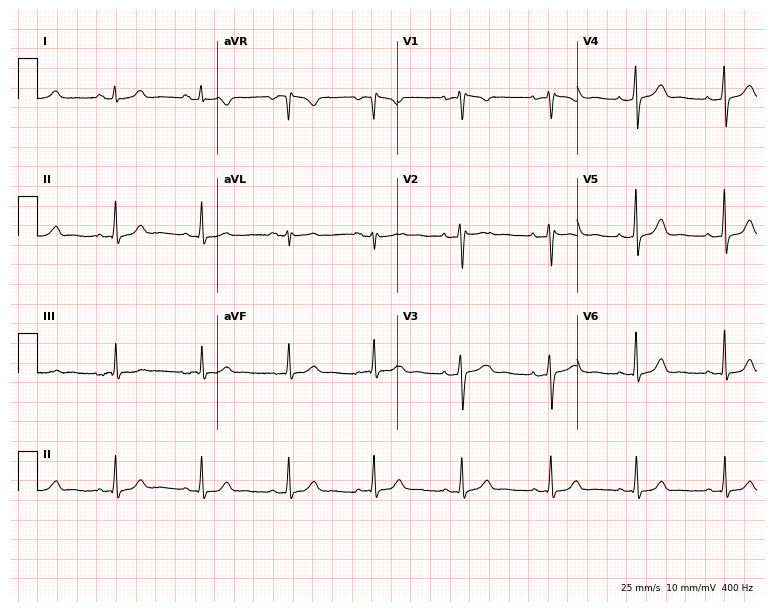
Standard 12-lead ECG recorded from a 40-year-old female (7.3-second recording at 400 Hz). None of these six findings is recorded: first-degree AV block, right bundle branch block, left bundle branch block, sinus bradycardia, atrial fibrillation, sinus tachycardia. Findings outside these six are not listed.